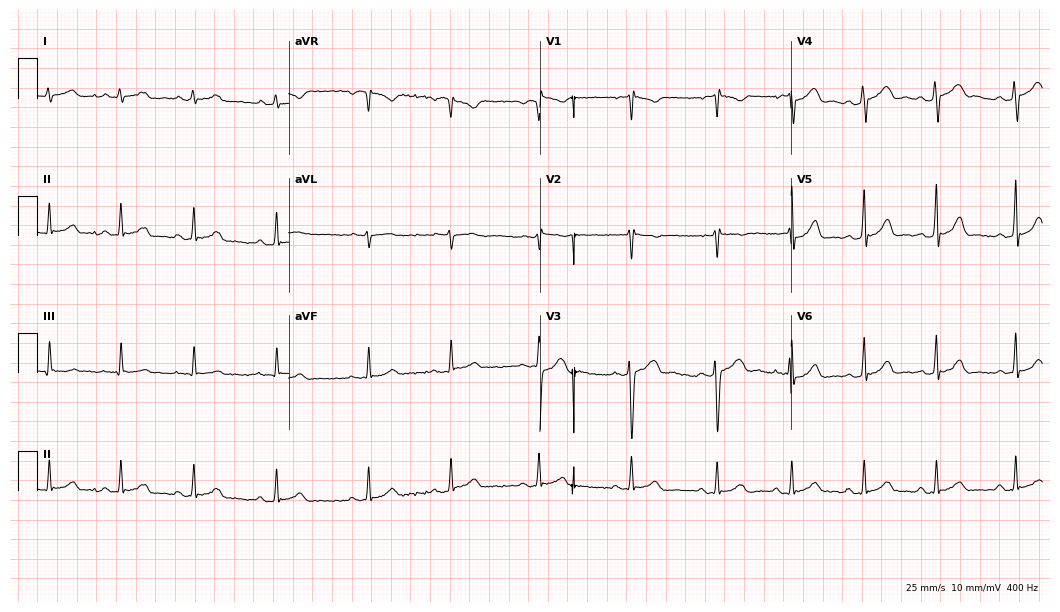
ECG — a woman, 17 years old. Screened for six findings — first-degree AV block, right bundle branch block, left bundle branch block, sinus bradycardia, atrial fibrillation, sinus tachycardia — none is recorded. Other findings, if any, are not listed.